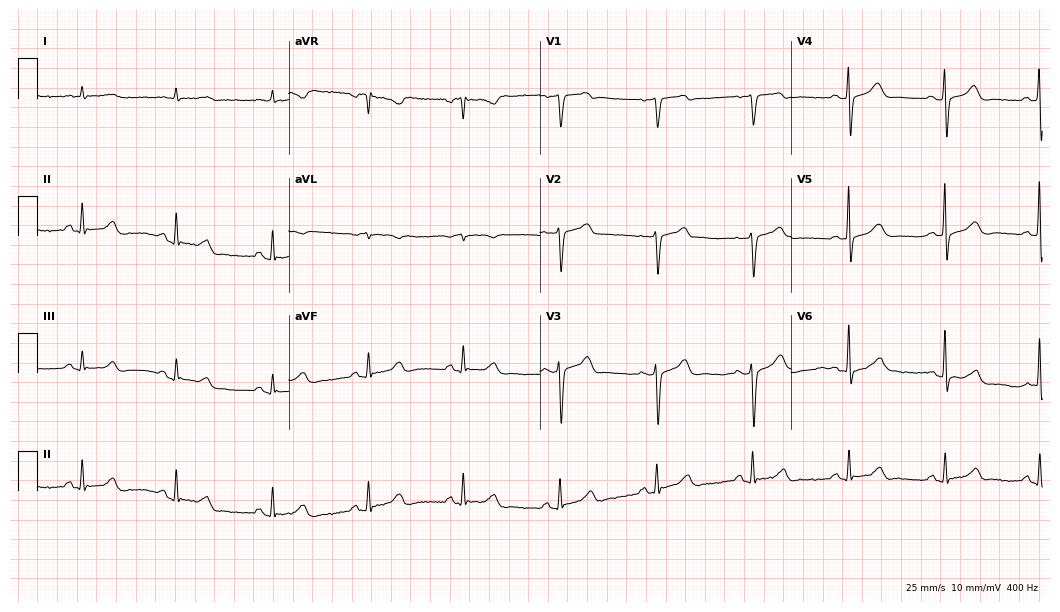
ECG — a 78-year-old male. Screened for six findings — first-degree AV block, right bundle branch block (RBBB), left bundle branch block (LBBB), sinus bradycardia, atrial fibrillation (AF), sinus tachycardia — none is recorded.